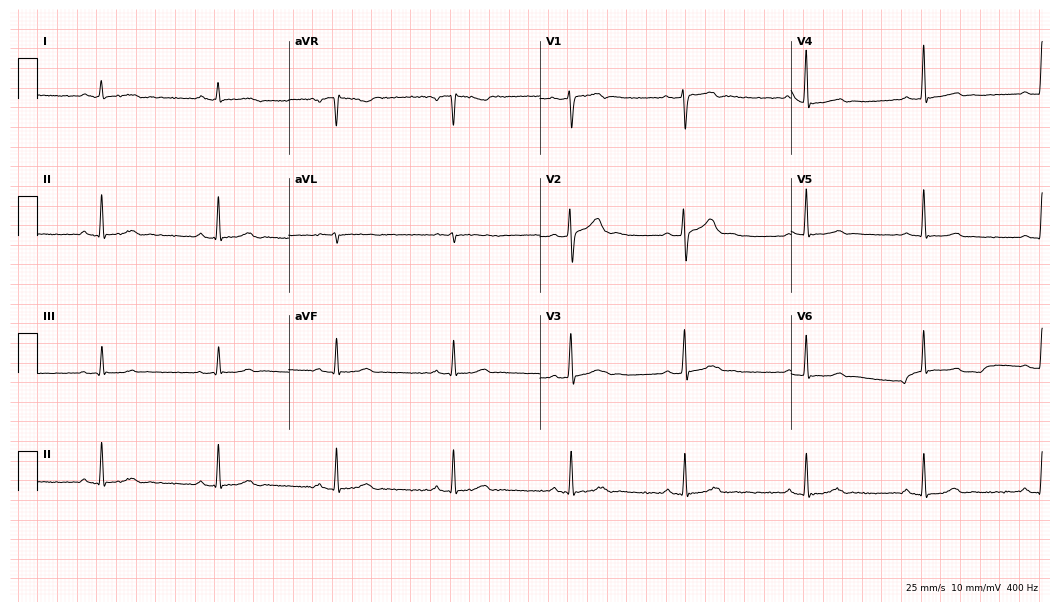
Electrocardiogram (10.2-second recording at 400 Hz), a male, 34 years old. Of the six screened findings (first-degree AV block, right bundle branch block, left bundle branch block, sinus bradycardia, atrial fibrillation, sinus tachycardia), none is recorded. Findings outside these six are not listed.